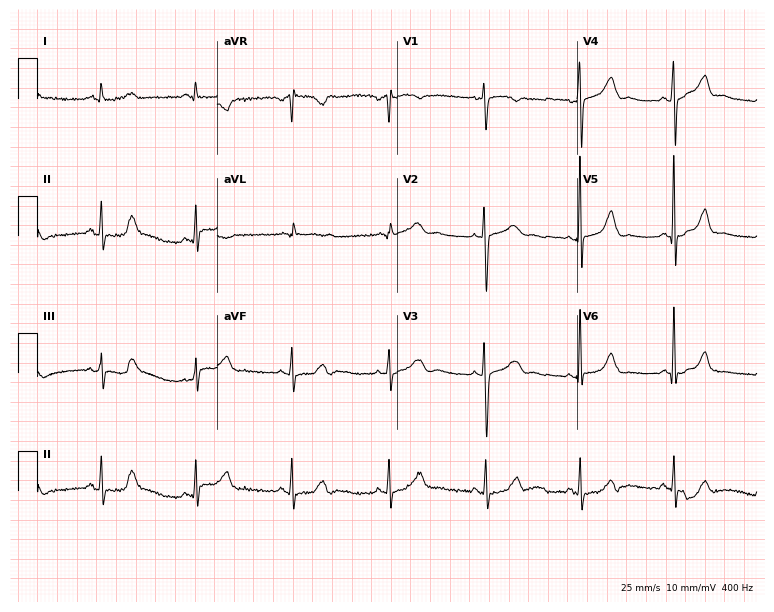
Electrocardiogram (7.3-second recording at 400 Hz), a man, 52 years old. Of the six screened findings (first-degree AV block, right bundle branch block, left bundle branch block, sinus bradycardia, atrial fibrillation, sinus tachycardia), none is recorded.